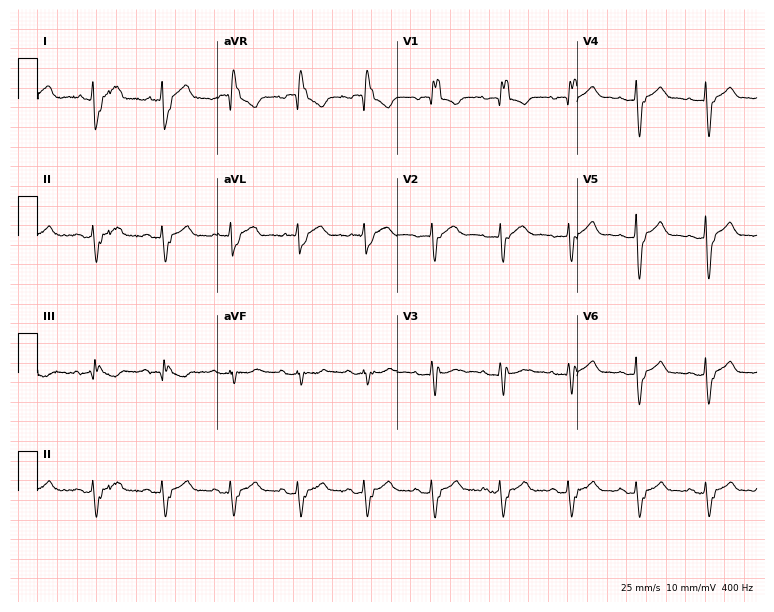
12-lead ECG (7.3-second recording at 400 Hz) from an 84-year-old female patient. Findings include right bundle branch block.